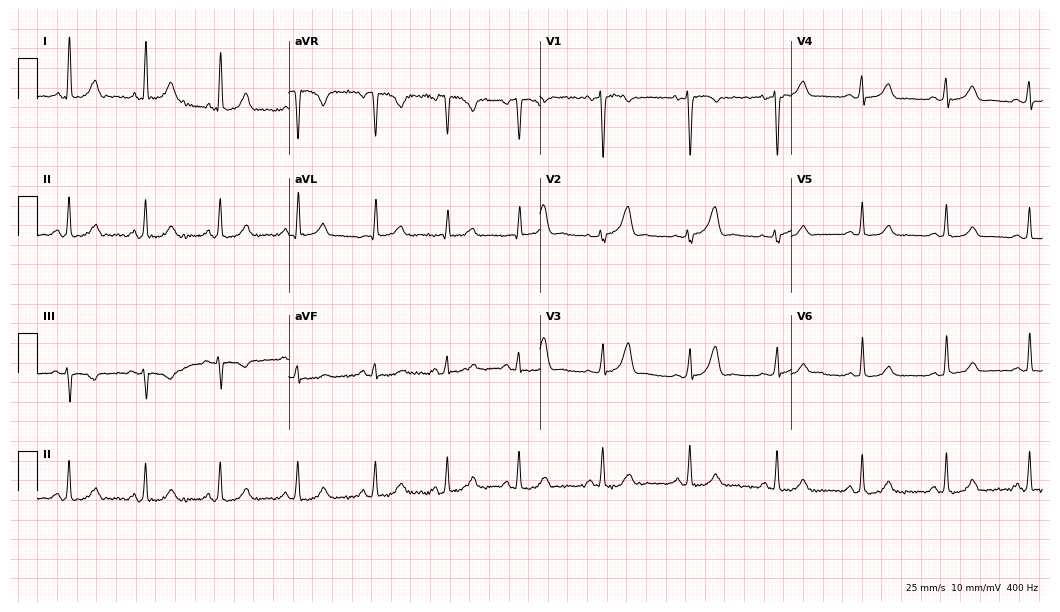
ECG (10.2-second recording at 400 Hz) — a woman, 48 years old. Labelled as a normal ECG.